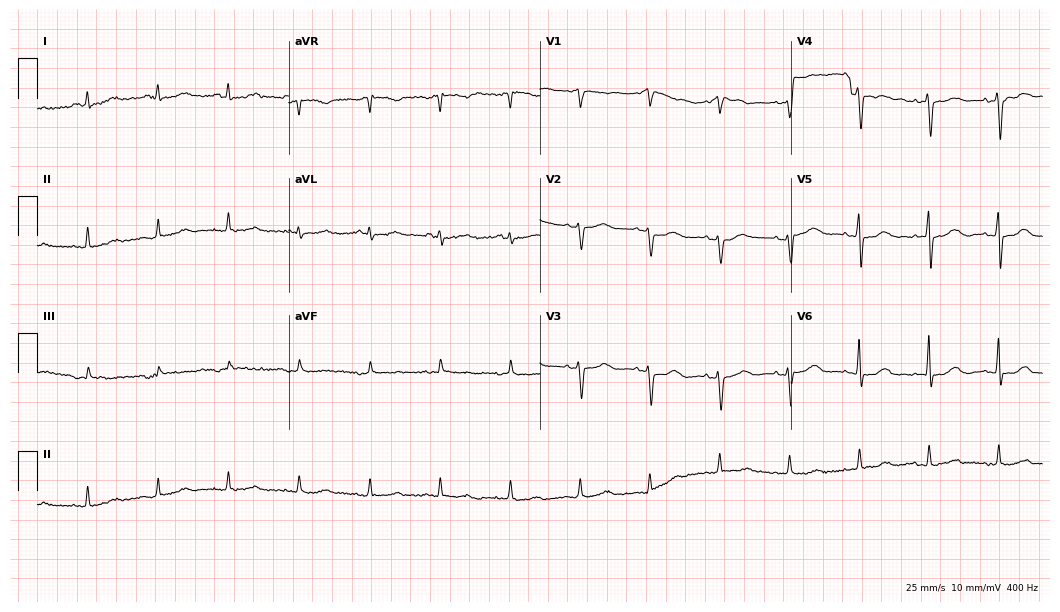
12-lead ECG from a woman, 62 years old. Screened for six findings — first-degree AV block, right bundle branch block (RBBB), left bundle branch block (LBBB), sinus bradycardia, atrial fibrillation (AF), sinus tachycardia — none is recorded.